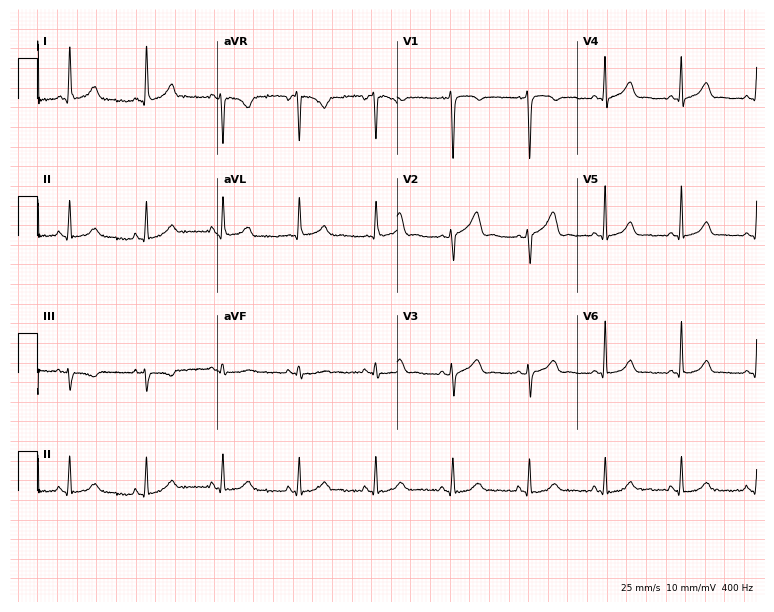
ECG — a female, 51 years old. Labelled as a normal ECG.